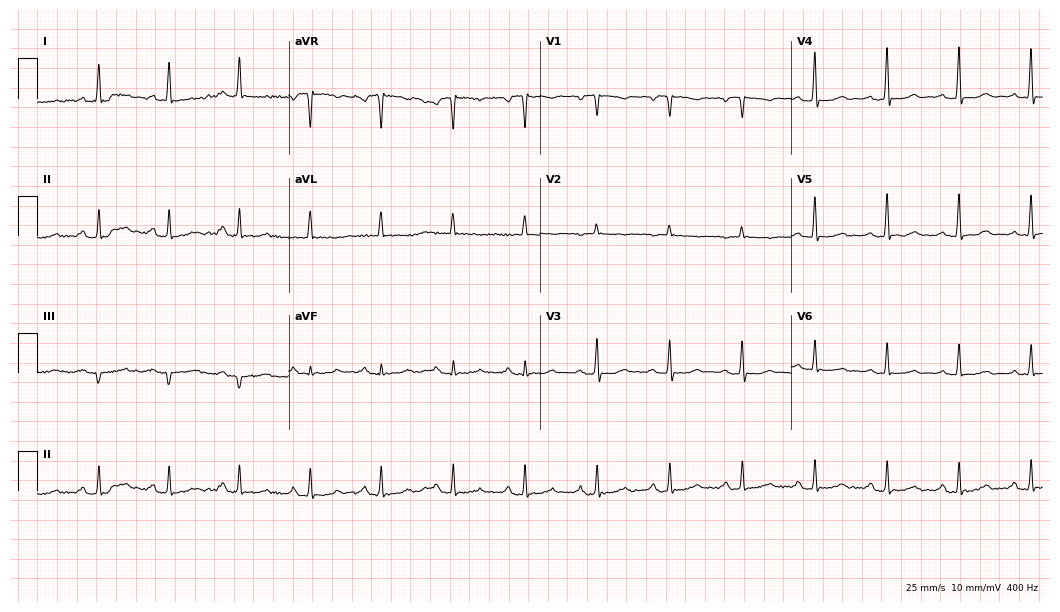
Electrocardiogram (10.2-second recording at 400 Hz), a 64-year-old female patient. Of the six screened findings (first-degree AV block, right bundle branch block (RBBB), left bundle branch block (LBBB), sinus bradycardia, atrial fibrillation (AF), sinus tachycardia), none is recorded.